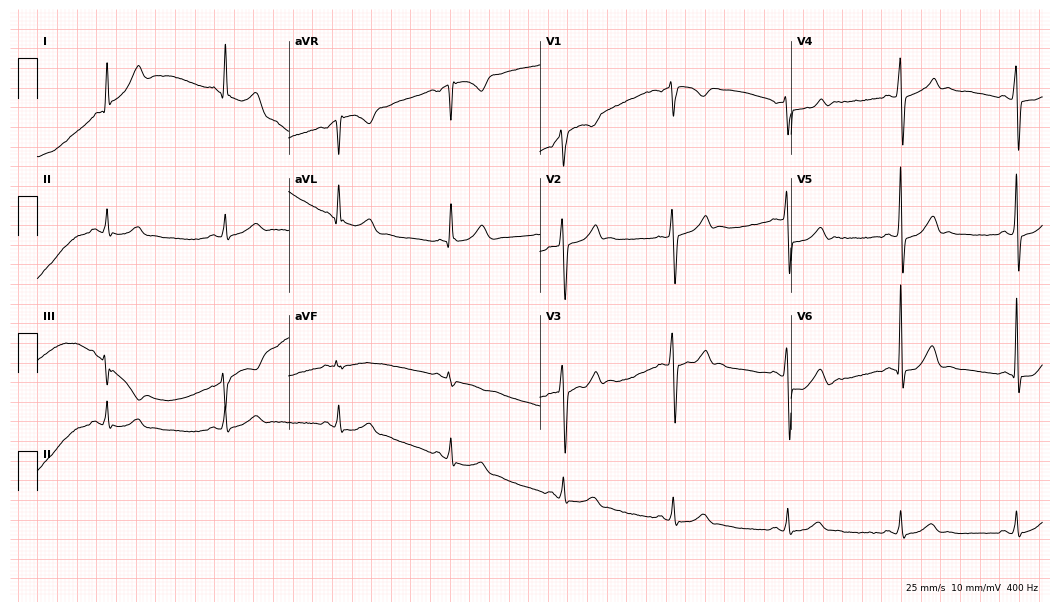
ECG — a 34-year-old man. Labelled as a normal ECG.